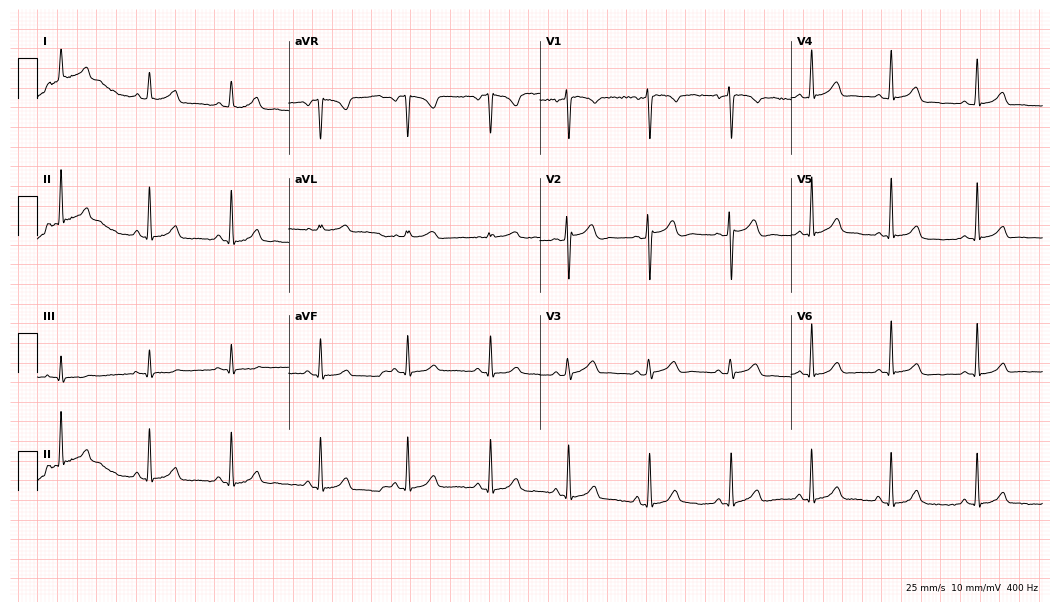
12-lead ECG (10.2-second recording at 400 Hz) from a 29-year-old female patient. Labelled as a normal ECG.